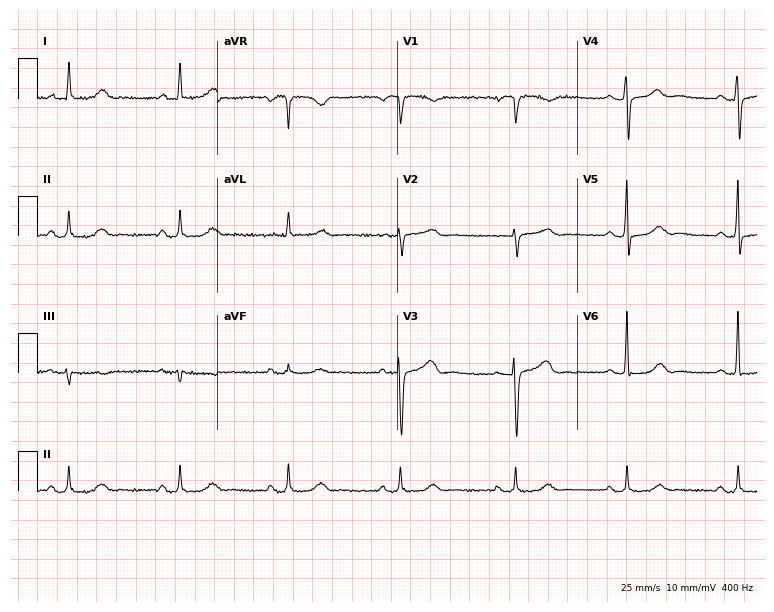
Standard 12-lead ECG recorded from a woman, 70 years old (7.3-second recording at 400 Hz). Read as a normal ECG.